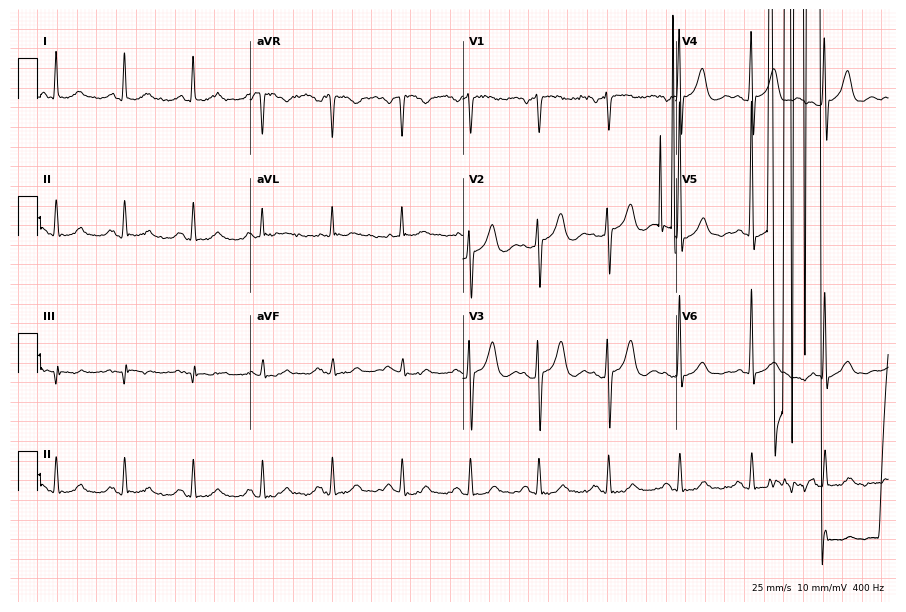
12-lead ECG (8.7-second recording at 400 Hz) from a 61-year-old male patient. Screened for six findings — first-degree AV block, right bundle branch block, left bundle branch block, sinus bradycardia, atrial fibrillation, sinus tachycardia — none is recorded. Only these six findings were labelled.